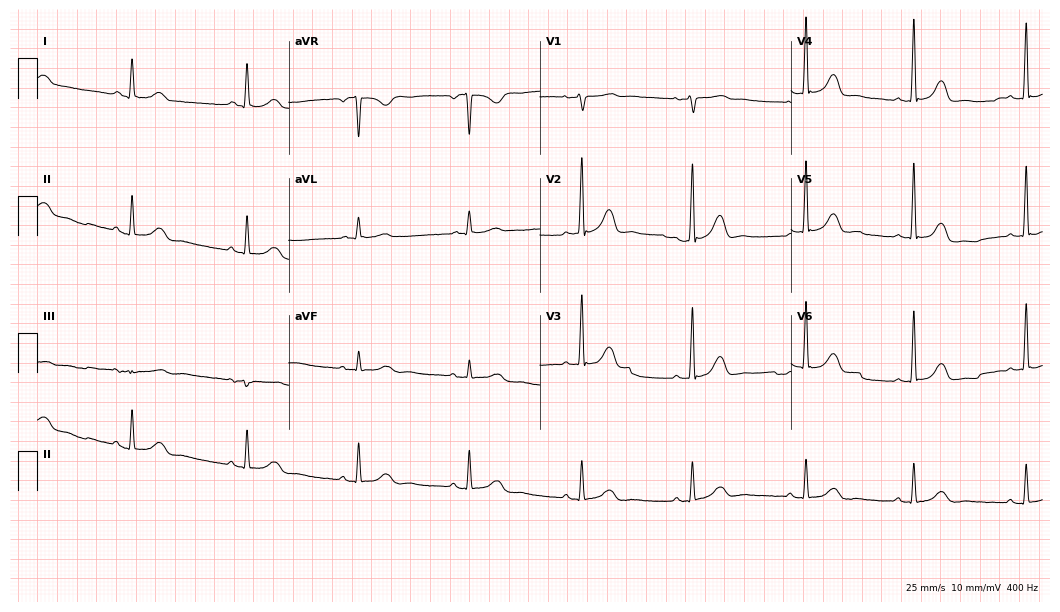
ECG — a female, 63 years old. Labelled as a normal ECG.